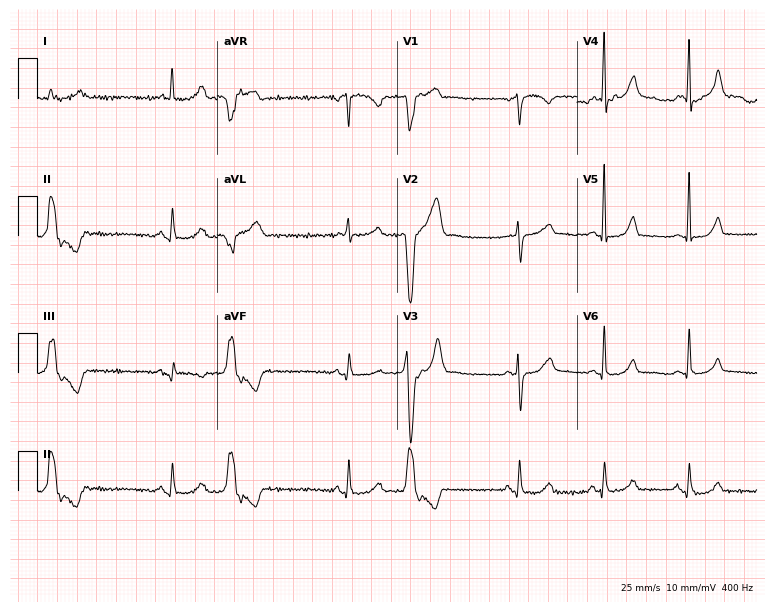
ECG — a woman, 63 years old. Labelled as a normal ECG.